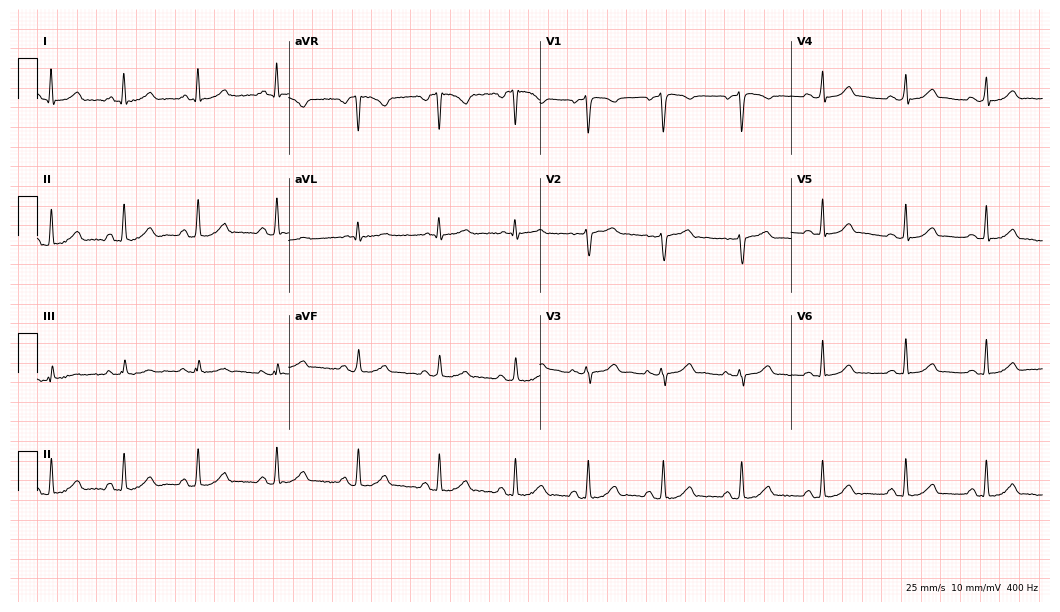
12-lead ECG from a 33-year-old female. Labelled as a normal ECG.